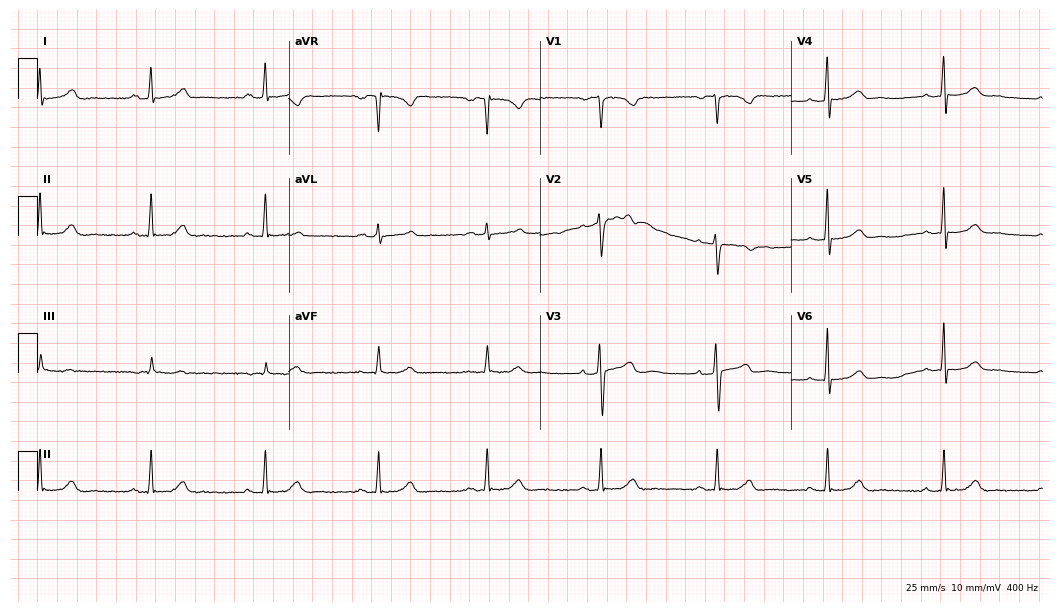
12-lead ECG from a 41-year-old female patient. No first-degree AV block, right bundle branch block (RBBB), left bundle branch block (LBBB), sinus bradycardia, atrial fibrillation (AF) or sinus tachycardia recorded for this tracing.